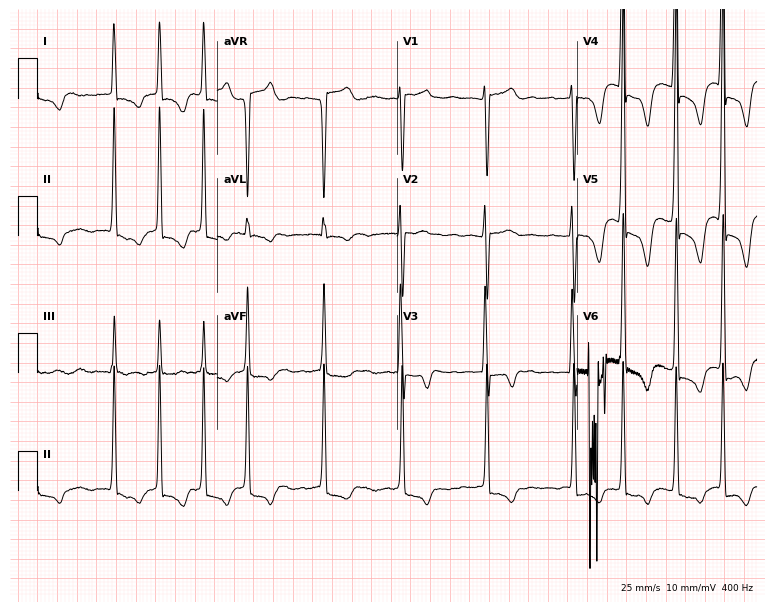
Electrocardiogram, a 70-year-old woman. Interpretation includes atrial fibrillation.